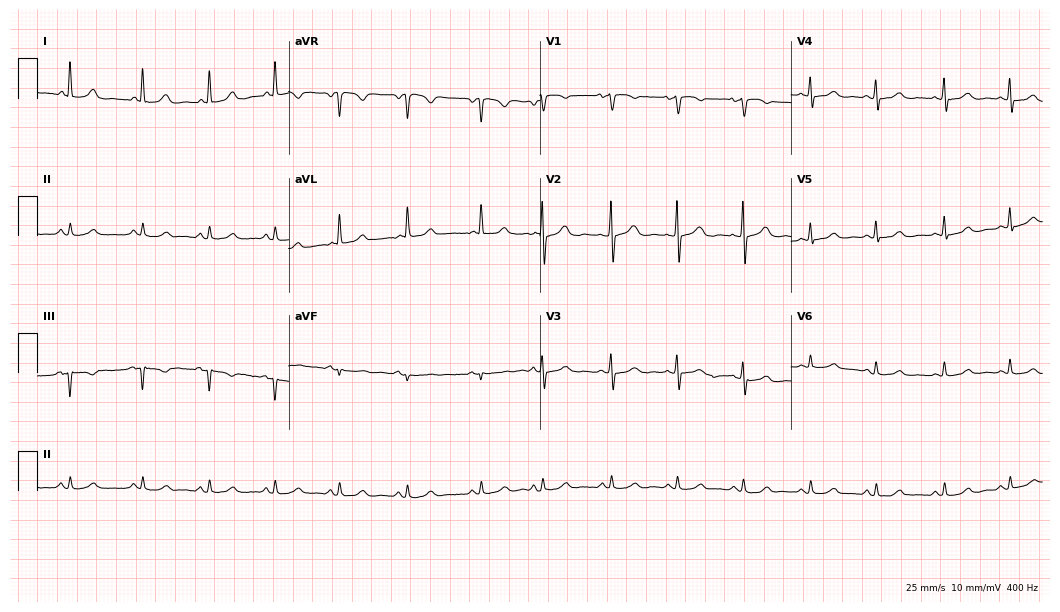
12-lead ECG from a female patient, 65 years old (10.2-second recording at 400 Hz). Recorded interpretation: within normal limits.